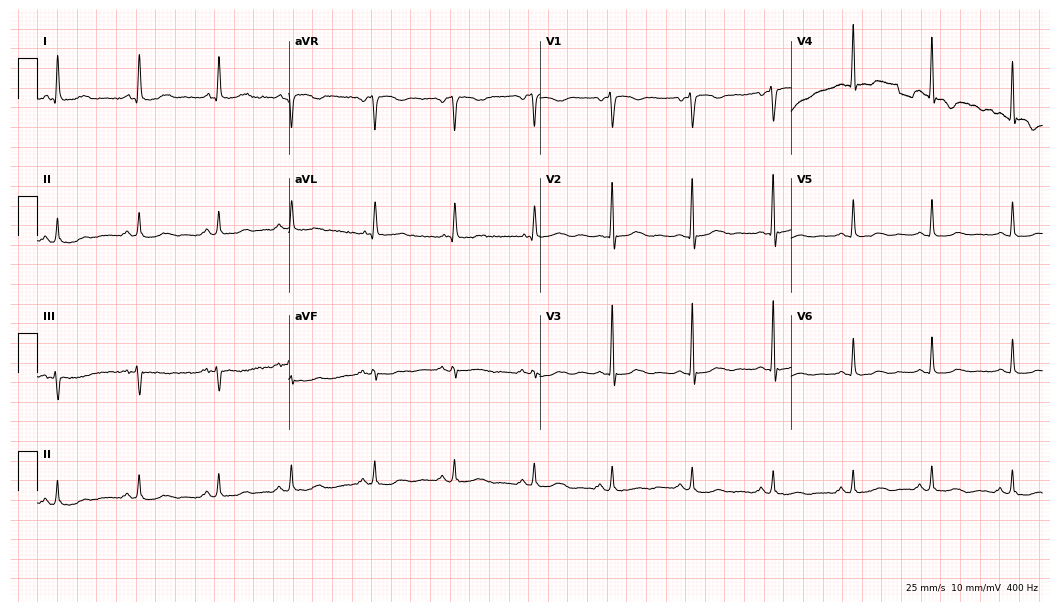
12-lead ECG (10.2-second recording at 400 Hz) from a 68-year-old female patient. Screened for six findings — first-degree AV block, right bundle branch block, left bundle branch block, sinus bradycardia, atrial fibrillation, sinus tachycardia — none is recorded.